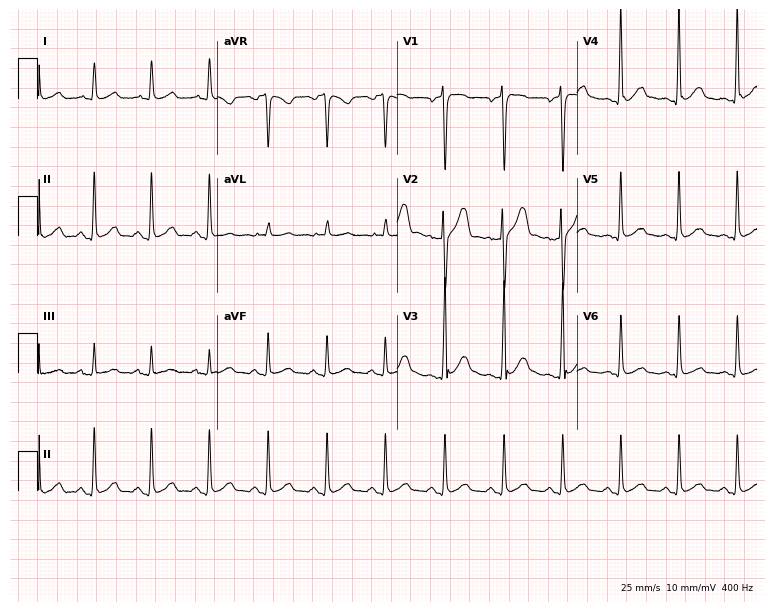
Electrocardiogram, a 43-year-old male. Interpretation includes sinus tachycardia (a sinus rate of 100 beats per minute or more).